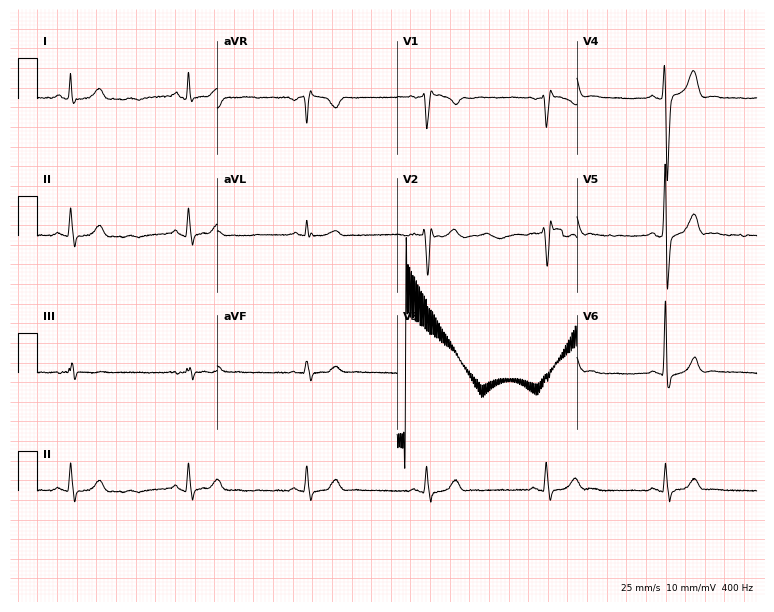
Standard 12-lead ECG recorded from a male, 41 years old. None of these six findings is recorded: first-degree AV block, right bundle branch block (RBBB), left bundle branch block (LBBB), sinus bradycardia, atrial fibrillation (AF), sinus tachycardia.